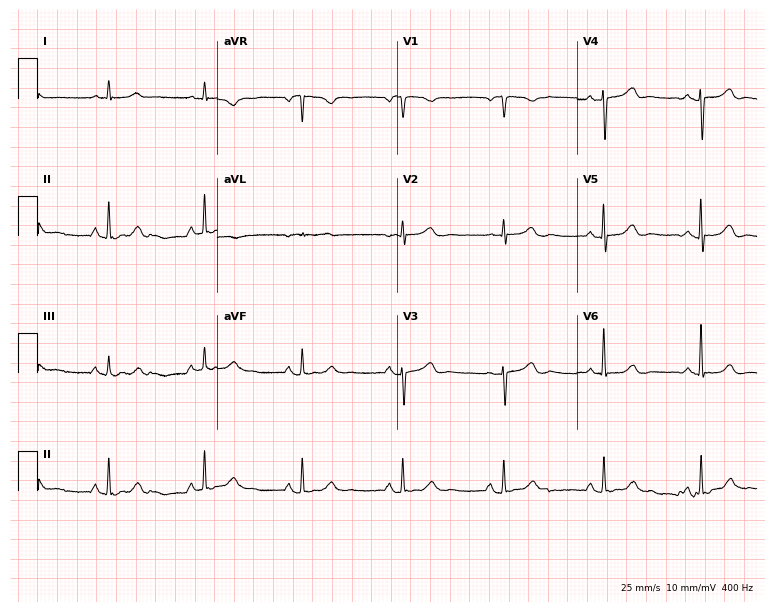
12-lead ECG from a female, 80 years old. Screened for six findings — first-degree AV block, right bundle branch block, left bundle branch block, sinus bradycardia, atrial fibrillation, sinus tachycardia — none is recorded.